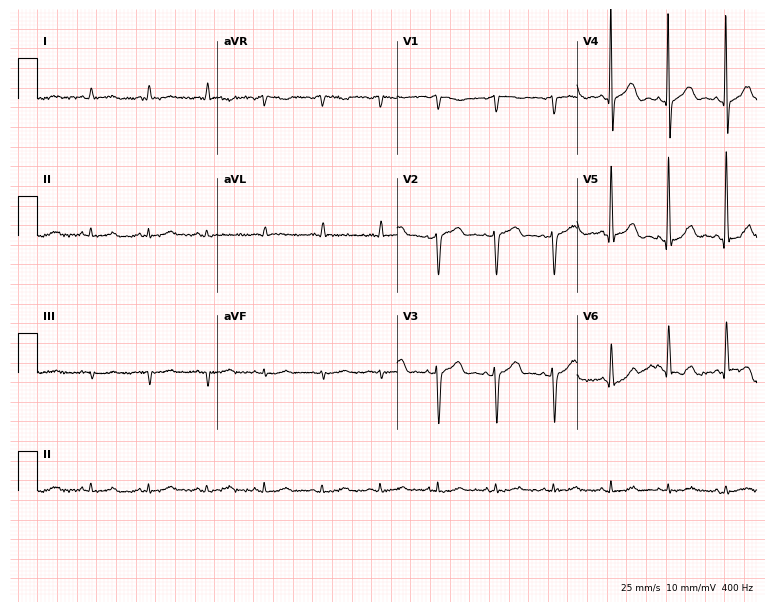
Electrocardiogram, a 73-year-old female patient. Of the six screened findings (first-degree AV block, right bundle branch block (RBBB), left bundle branch block (LBBB), sinus bradycardia, atrial fibrillation (AF), sinus tachycardia), none is recorded.